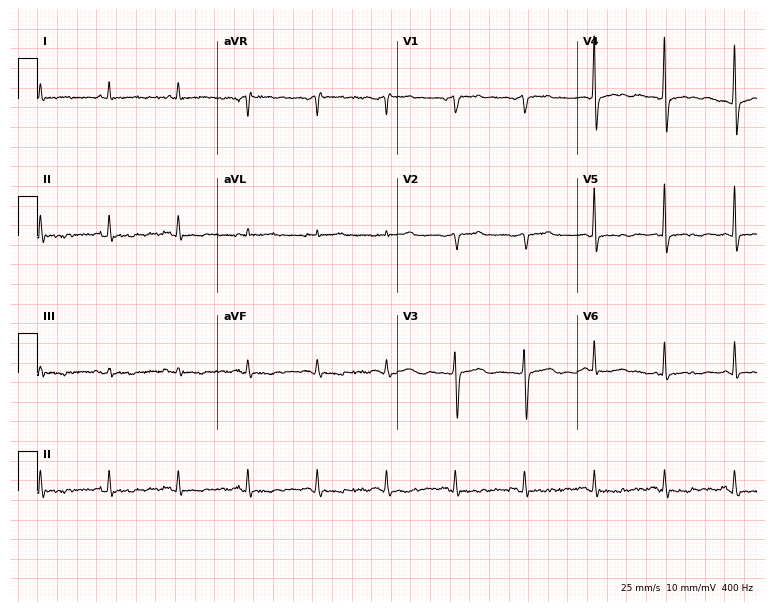
Electrocardiogram (7.3-second recording at 400 Hz), a male patient, 85 years old. Of the six screened findings (first-degree AV block, right bundle branch block, left bundle branch block, sinus bradycardia, atrial fibrillation, sinus tachycardia), none is recorded. Other findings, if any, are not listed.